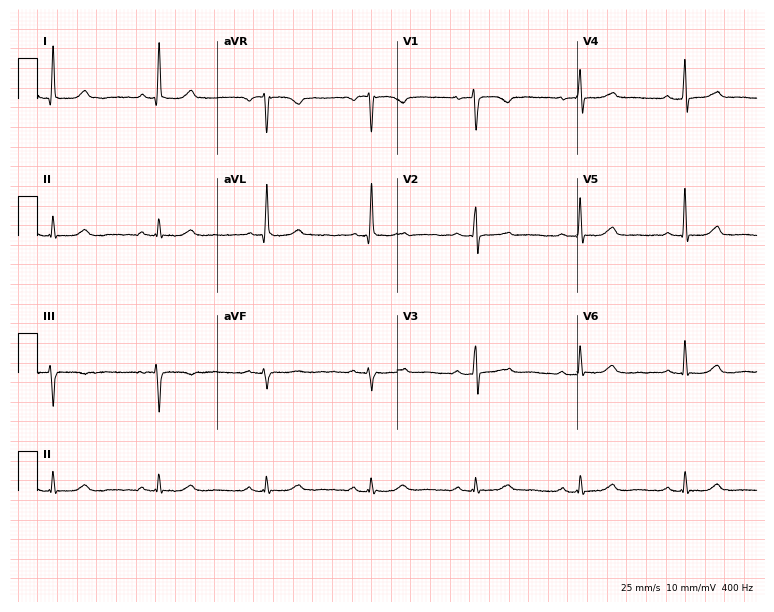
Standard 12-lead ECG recorded from a 68-year-old female. None of these six findings is recorded: first-degree AV block, right bundle branch block (RBBB), left bundle branch block (LBBB), sinus bradycardia, atrial fibrillation (AF), sinus tachycardia. Findings outside these six are not listed.